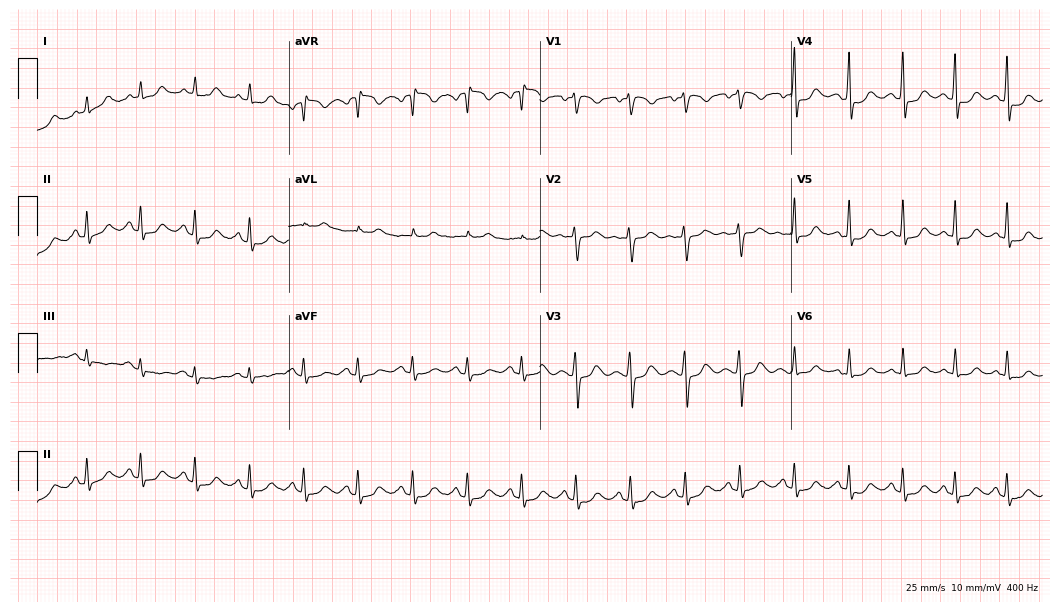
12-lead ECG from a 41-year-old female patient (10.2-second recording at 400 Hz). Shows sinus tachycardia (a sinus rate of 100 beats per minute or more).